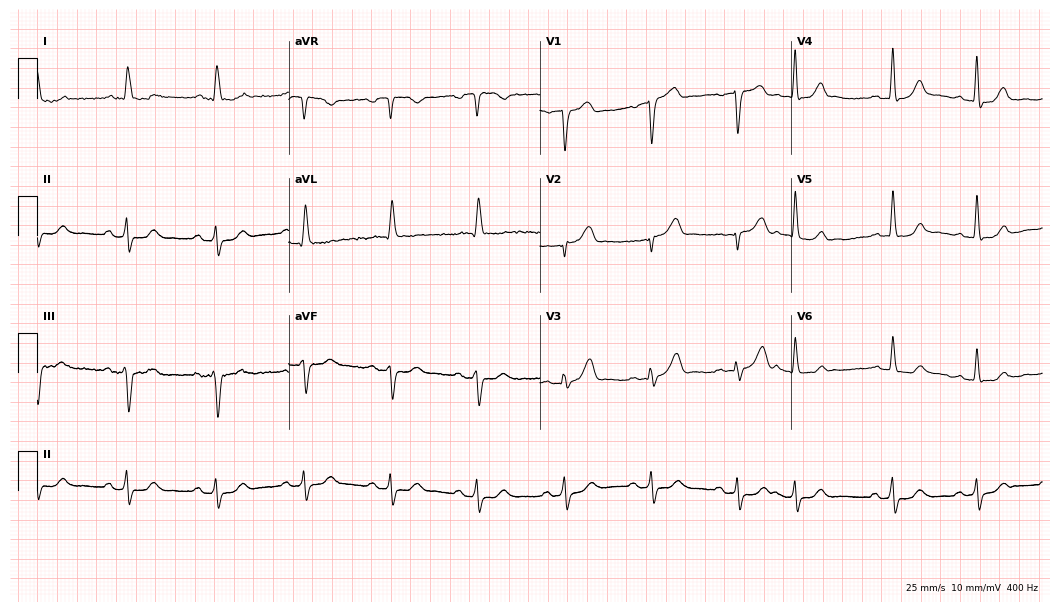
ECG — a 74-year-old man. Screened for six findings — first-degree AV block, right bundle branch block, left bundle branch block, sinus bradycardia, atrial fibrillation, sinus tachycardia — none is recorded. Other findings, if any, are not listed.